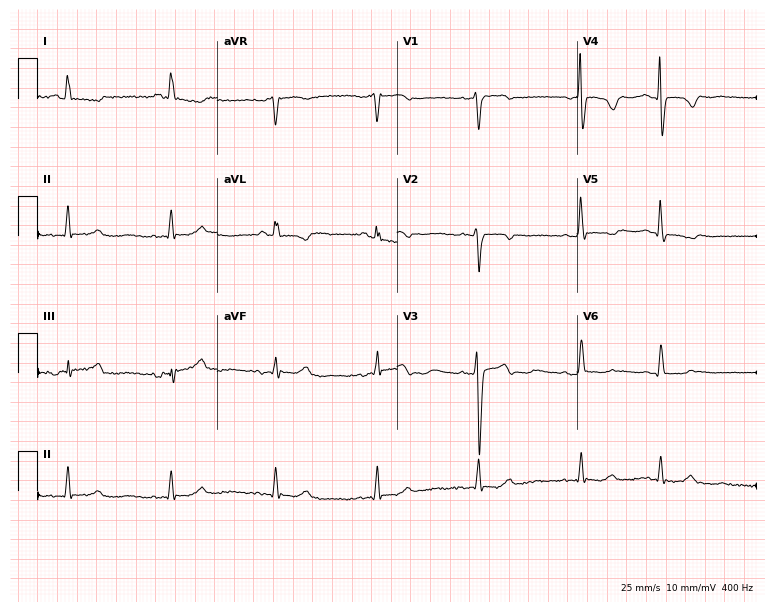
12-lead ECG (7.3-second recording at 400 Hz) from a 68-year-old woman. Screened for six findings — first-degree AV block, right bundle branch block, left bundle branch block, sinus bradycardia, atrial fibrillation, sinus tachycardia — none is recorded. Other findings, if any, are not listed.